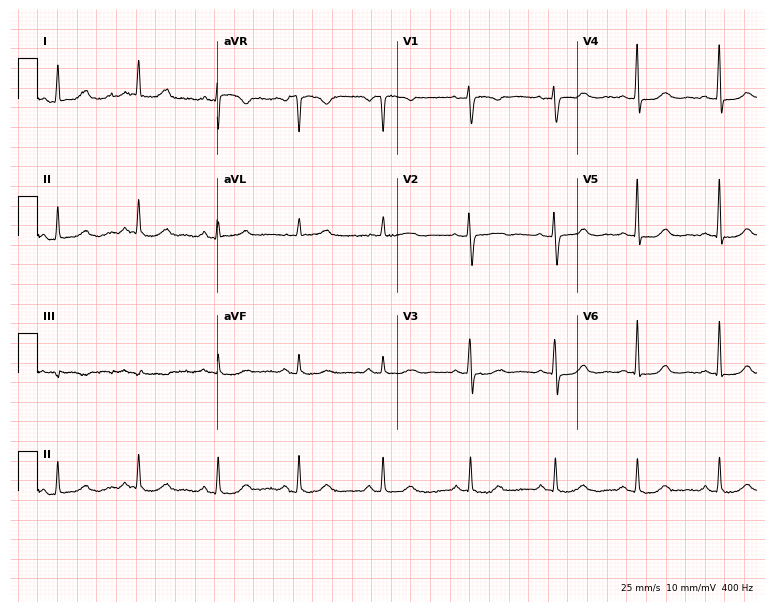
12-lead ECG from a 53-year-old female patient. Labelled as a normal ECG.